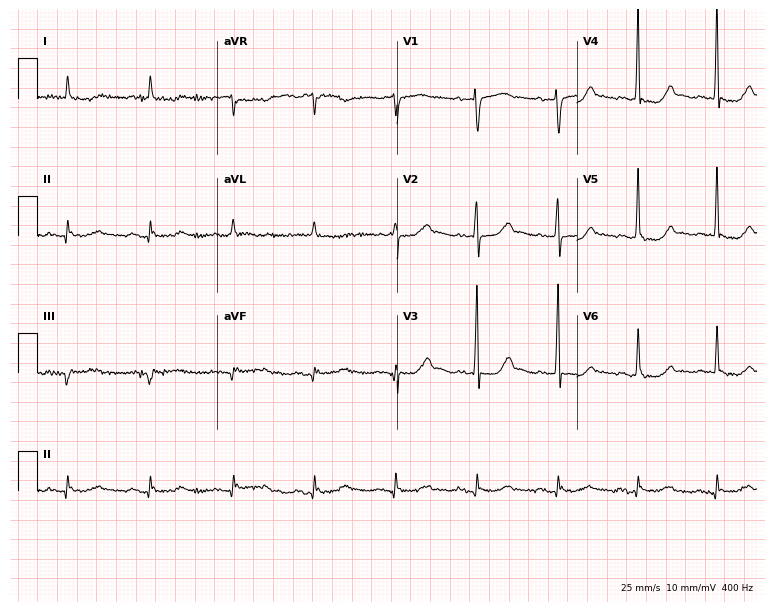
Resting 12-lead electrocardiogram (7.3-second recording at 400 Hz). Patient: a 71-year-old female. None of these six findings is recorded: first-degree AV block, right bundle branch block, left bundle branch block, sinus bradycardia, atrial fibrillation, sinus tachycardia.